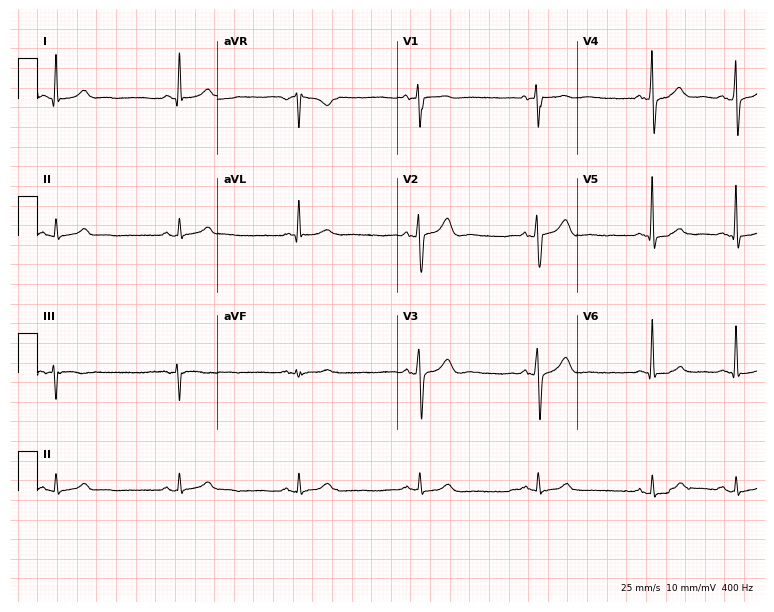
12-lead ECG from a male, 59 years old (7.3-second recording at 400 Hz). Recorded interpretation: within normal limits.